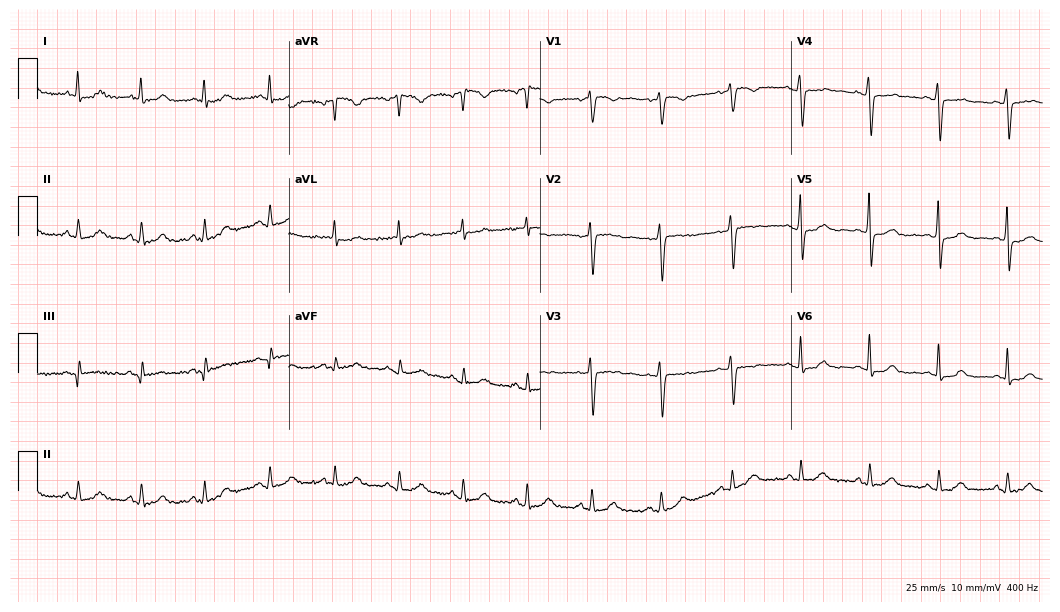
Standard 12-lead ECG recorded from a 51-year-old female patient. Read as a normal ECG.